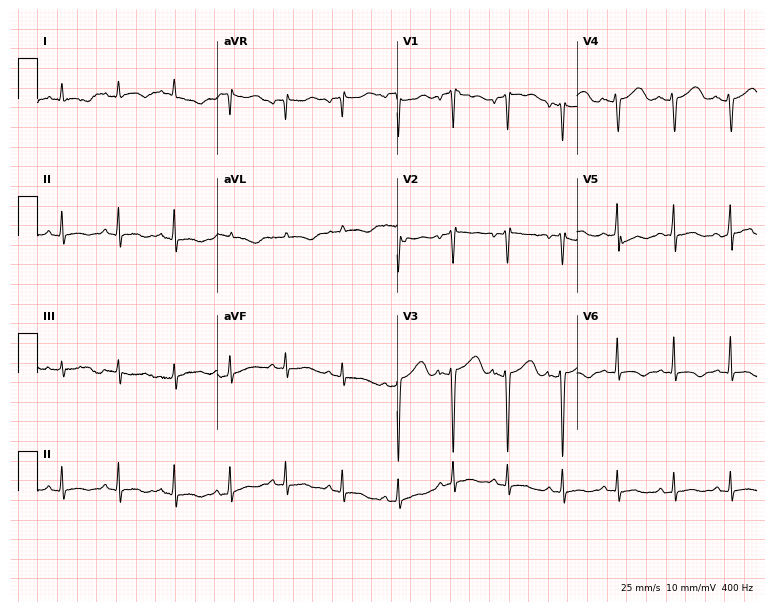
12-lead ECG from a female patient, 18 years old (7.3-second recording at 400 Hz). Shows sinus tachycardia (a sinus rate of 100 beats per minute or more).